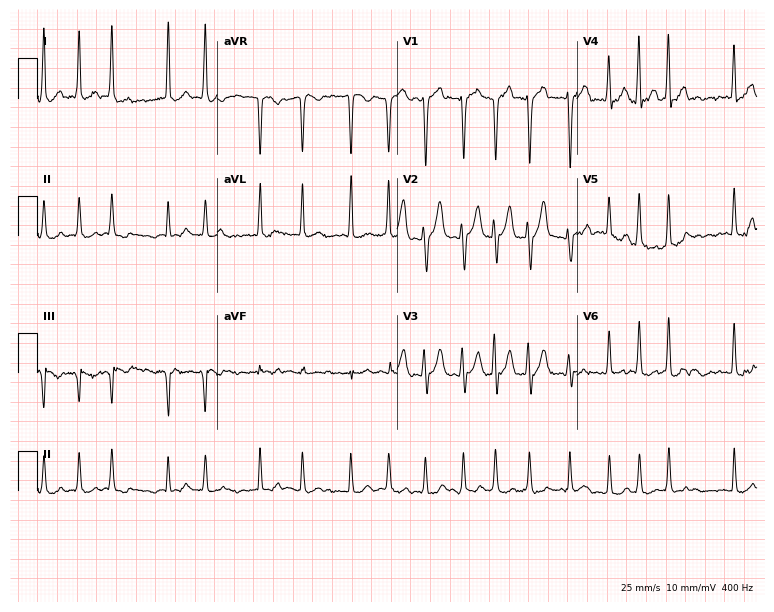
12-lead ECG (7.3-second recording at 400 Hz) from a 41-year-old male patient. Findings include atrial fibrillation.